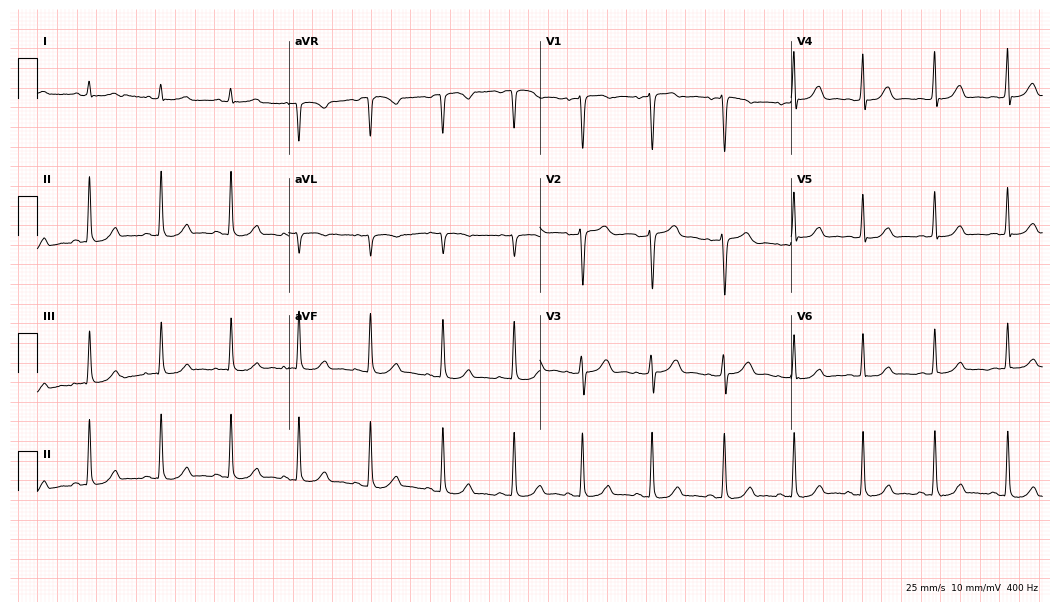
Standard 12-lead ECG recorded from a female patient, 35 years old (10.2-second recording at 400 Hz). None of these six findings is recorded: first-degree AV block, right bundle branch block (RBBB), left bundle branch block (LBBB), sinus bradycardia, atrial fibrillation (AF), sinus tachycardia.